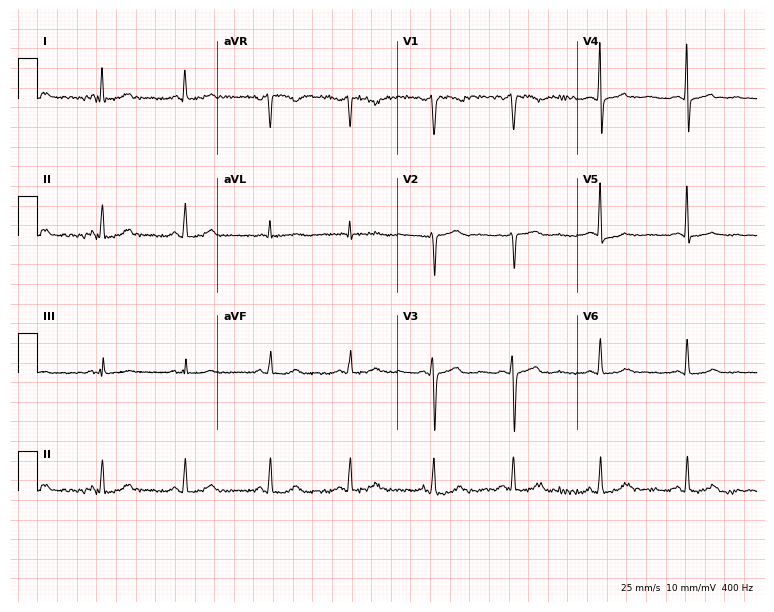
12-lead ECG (7.3-second recording at 400 Hz) from a female, 49 years old. Labelled as a normal ECG.